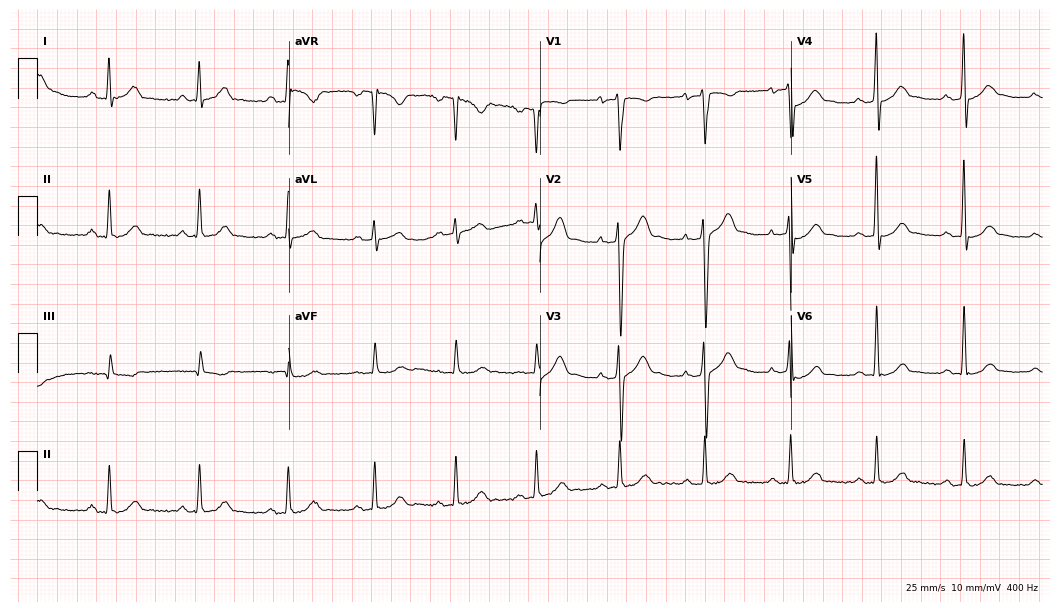
Resting 12-lead electrocardiogram (10.2-second recording at 400 Hz). Patient: a 36-year-old man. Read as a normal ECG.